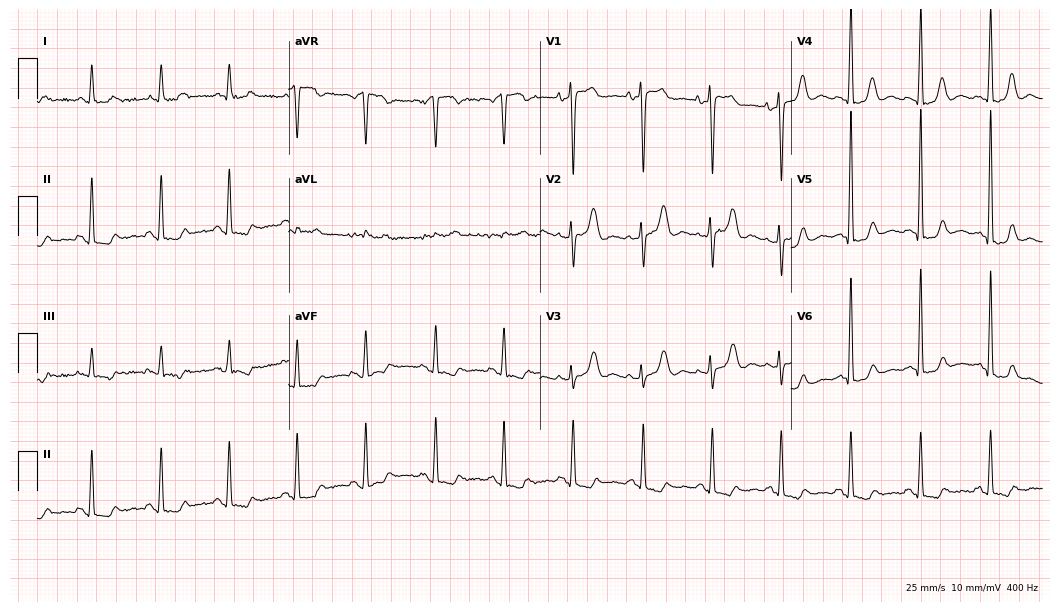
12-lead ECG (10.2-second recording at 400 Hz) from a 71-year-old female. Screened for six findings — first-degree AV block, right bundle branch block (RBBB), left bundle branch block (LBBB), sinus bradycardia, atrial fibrillation (AF), sinus tachycardia — none is recorded. Only these six findings were labelled.